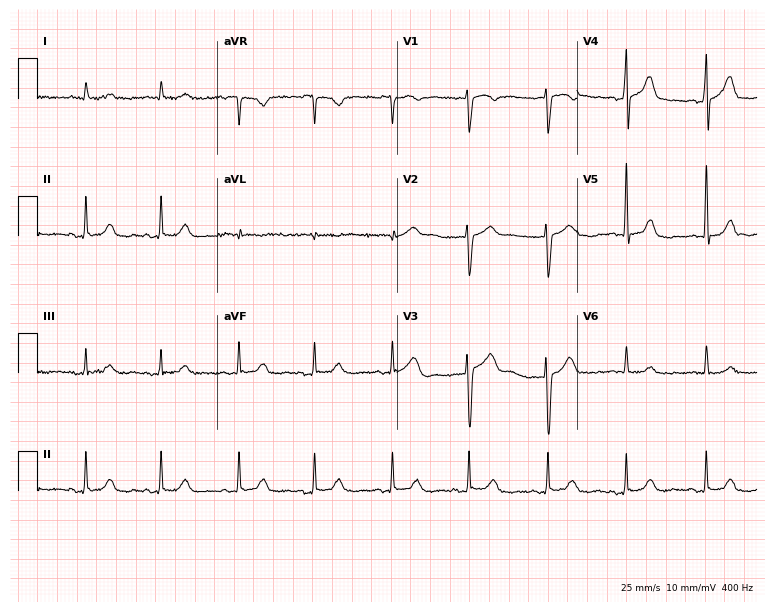
ECG (7.3-second recording at 400 Hz) — an 80-year-old female. Labelled as a normal ECG.